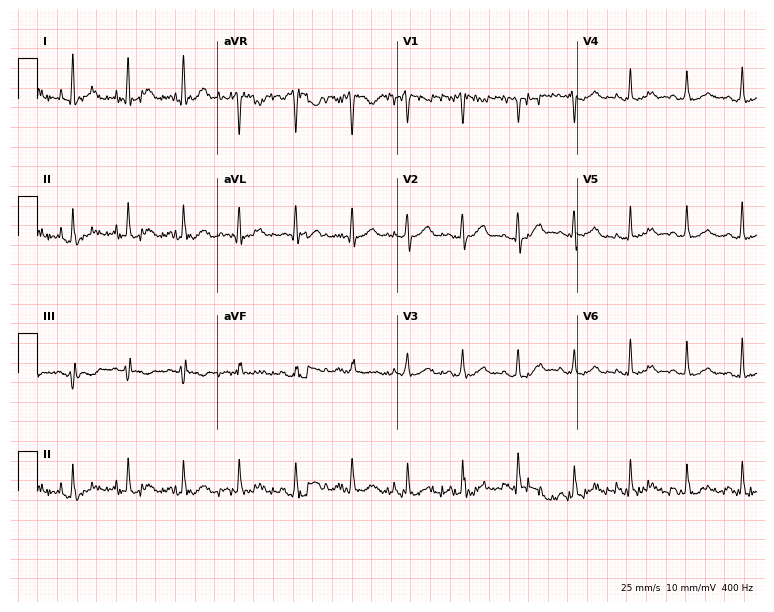
Electrocardiogram (7.3-second recording at 400 Hz), a 45-year-old woman. Interpretation includes sinus tachycardia (a sinus rate of 100 beats per minute or more).